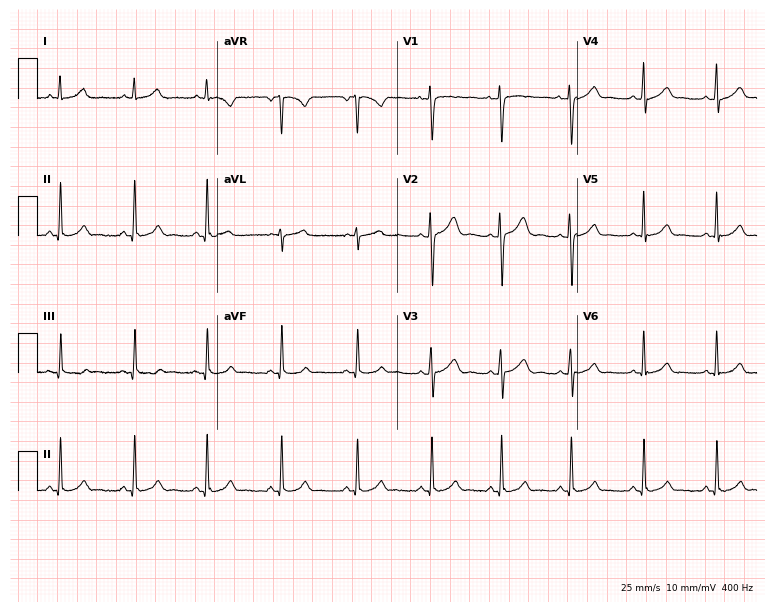
12-lead ECG from a female patient, 21 years old (7.3-second recording at 400 Hz). Recorded interpretation: within normal limits.